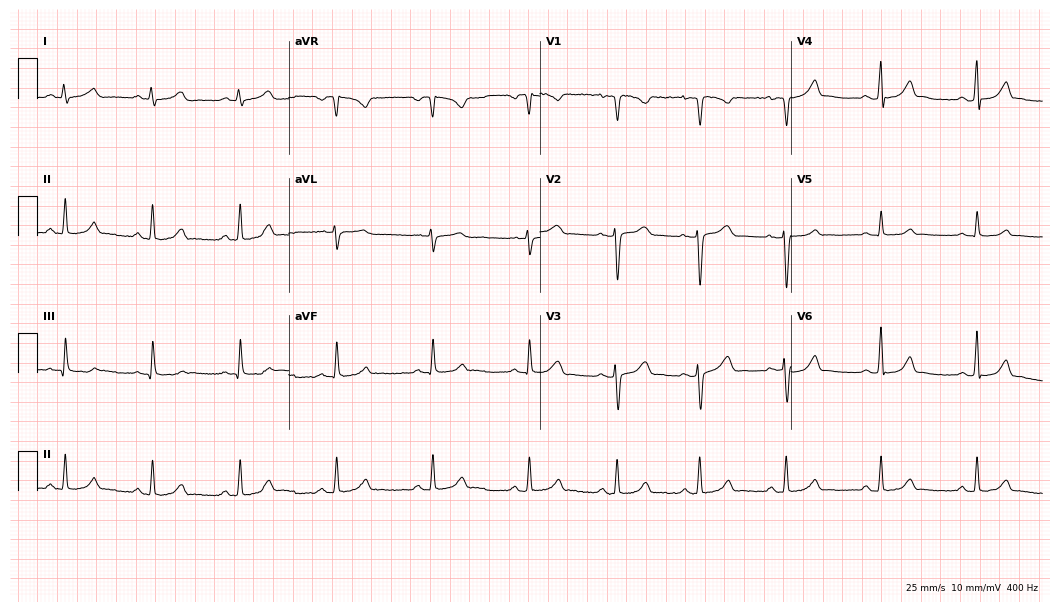
Electrocardiogram, a 21-year-old female patient. Overall reading on record: normal ECG.